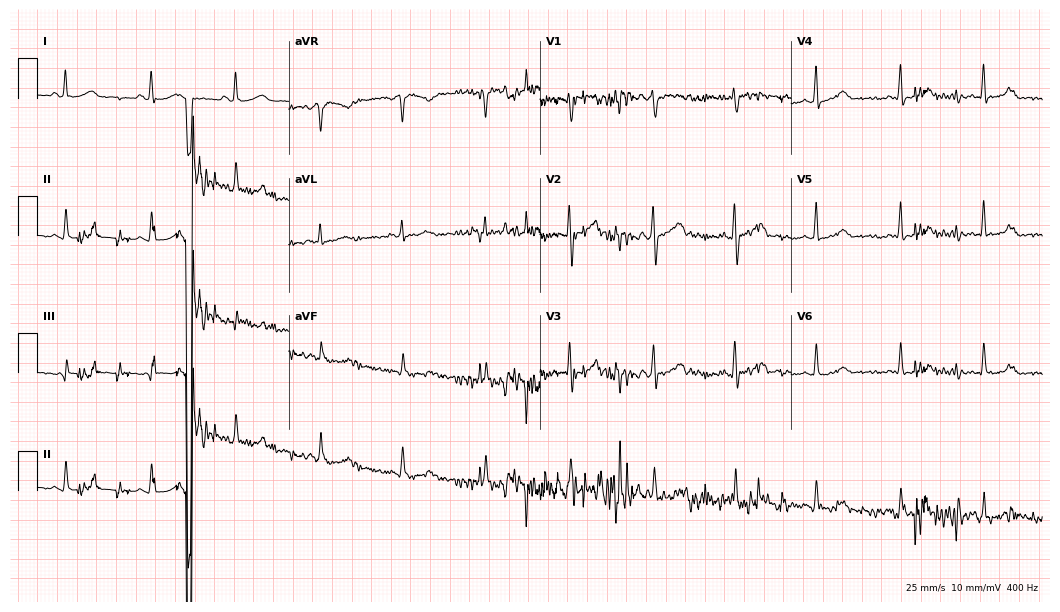
ECG (10.2-second recording at 400 Hz) — a female patient, 54 years old. Labelled as a normal ECG.